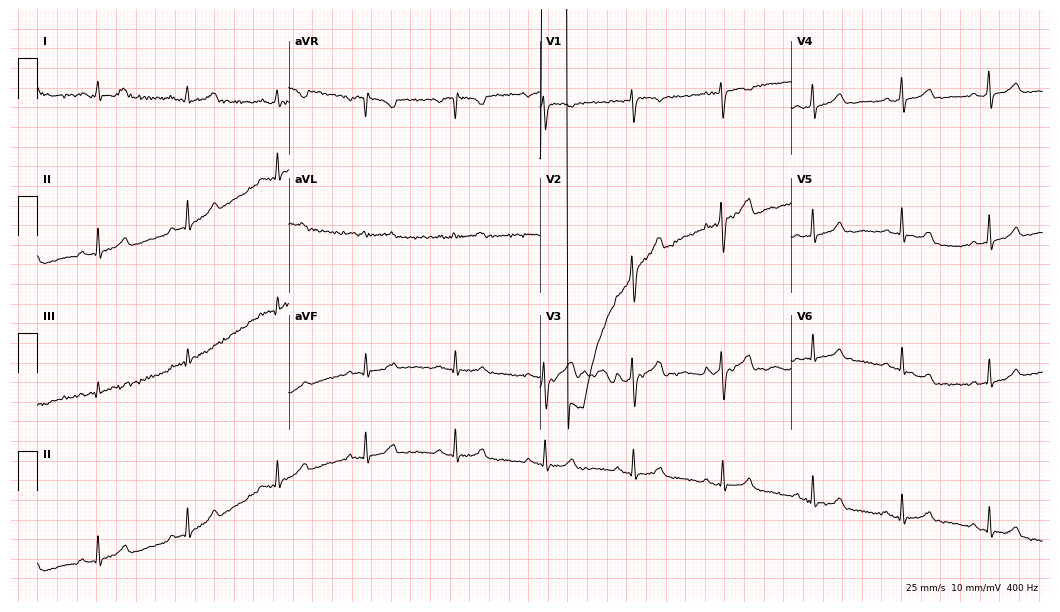
Standard 12-lead ECG recorded from a female patient, 38 years old. None of these six findings is recorded: first-degree AV block, right bundle branch block, left bundle branch block, sinus bradycardia, atrial fibrillation, sinus tachycardia.